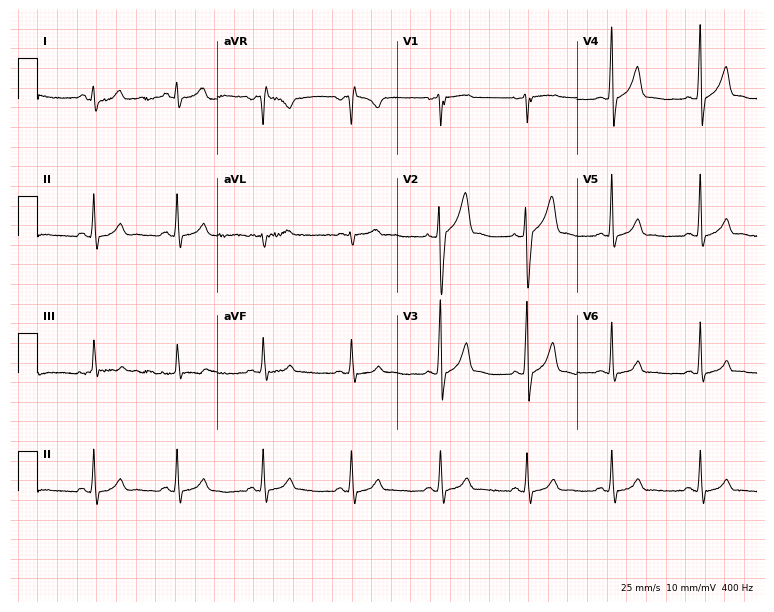
ECG — a male patient, 39 years old. Labelled as a normal ECG.